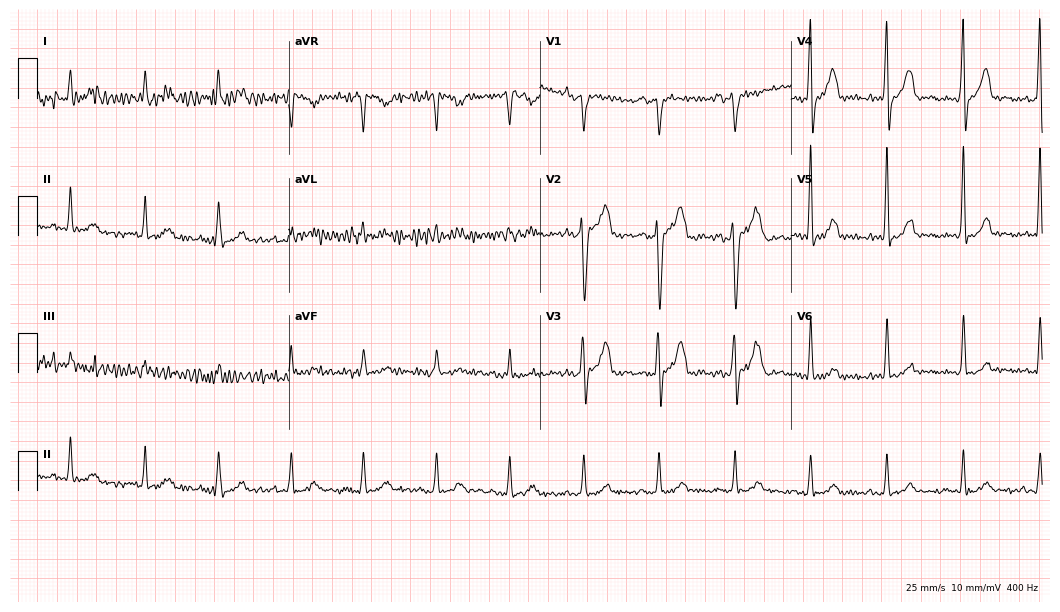
Electrocardiogram, a male, 71 years old. Of the six screened findings (first-degree AV block, right bundle branch block (RBBB), left bundle branch block (LBBB), sinus bradycardia, atrial fibrillation (AF), sinus tachycardia), none is recorded. Other findings, if any, are not listed.